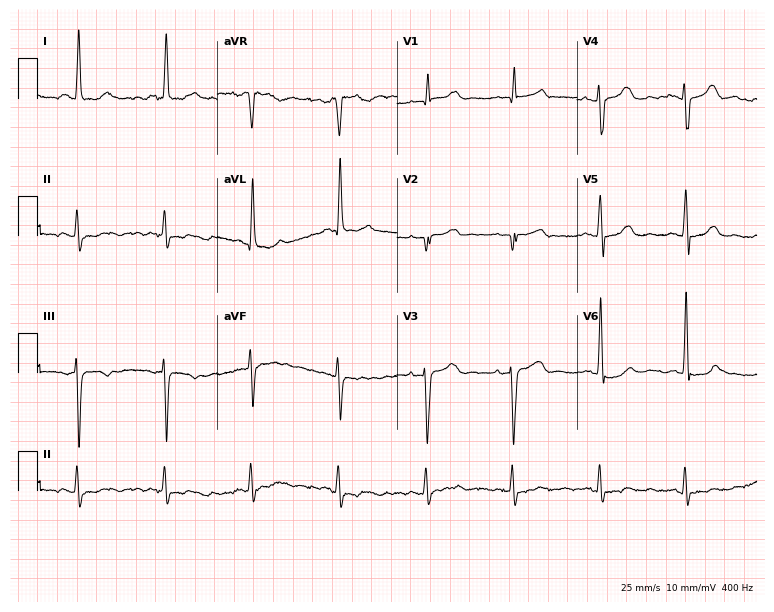
12-lead ECG from a female, 77 years old. Screened for six findings — first-degree AV block, right bundle branch block, left bundle branch block, sinus bradycardia, atrial fibrillation, sinus tachycardia — none is recorded.